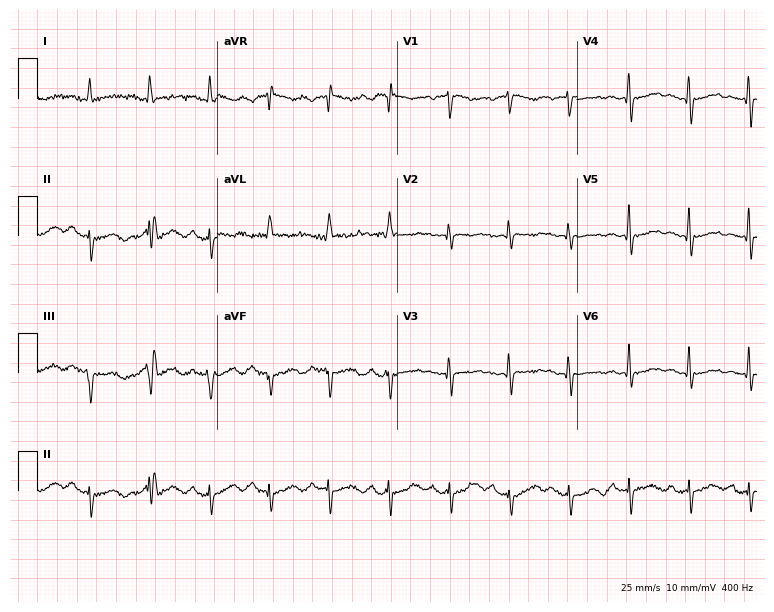
Resting 12-lead electrocardiogram (7.3-second recording at 400 Hz). Patient: a 62-year-old female. None of these six findings is recorded: first-degree AV block, right bundle branch block (RBBB), left bundle branch block (LBBB), sinus bradycardia, atrial fibrillation (AF), sinus tachycardia.